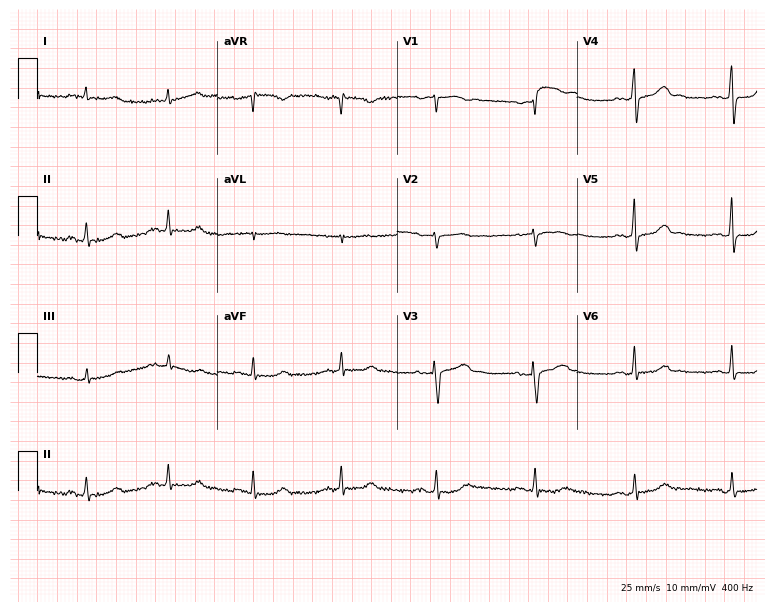
12-lead ECG from a female patient, 53 years old (7.3-second recording at 400 Hz). No first-degree AV block, right bundle branch block, left bundle branch block, sinus bradycardia, atrial fibrillation or sinus tachycardia recorded for this tracing.